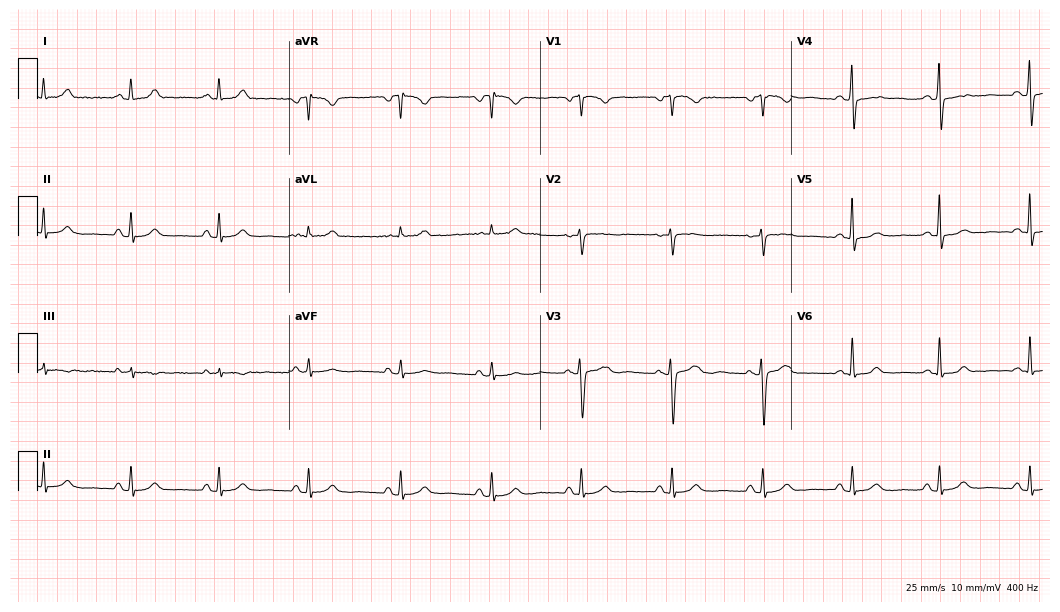
Electrocardiogram, a female patient, 50 years old. Overall reading on record: normal ECG.